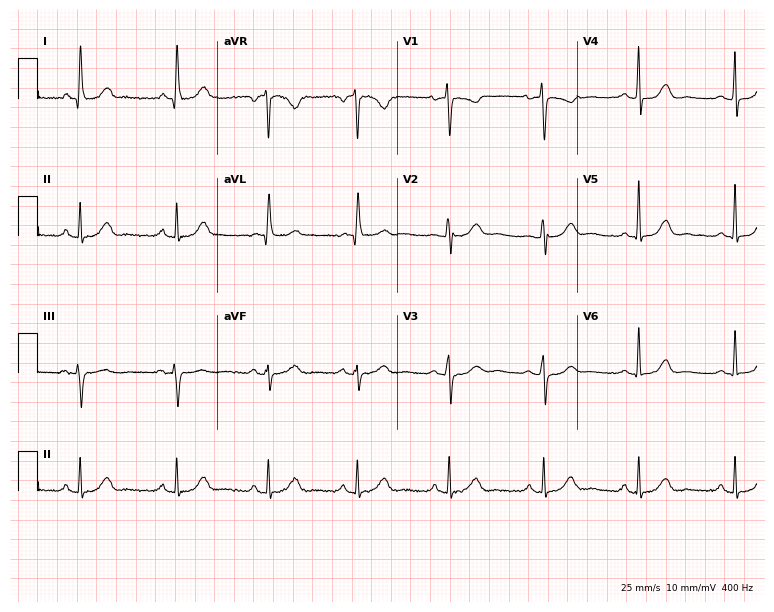
ECG — a female patient, 66 years old. Labelled as a normal ECG.